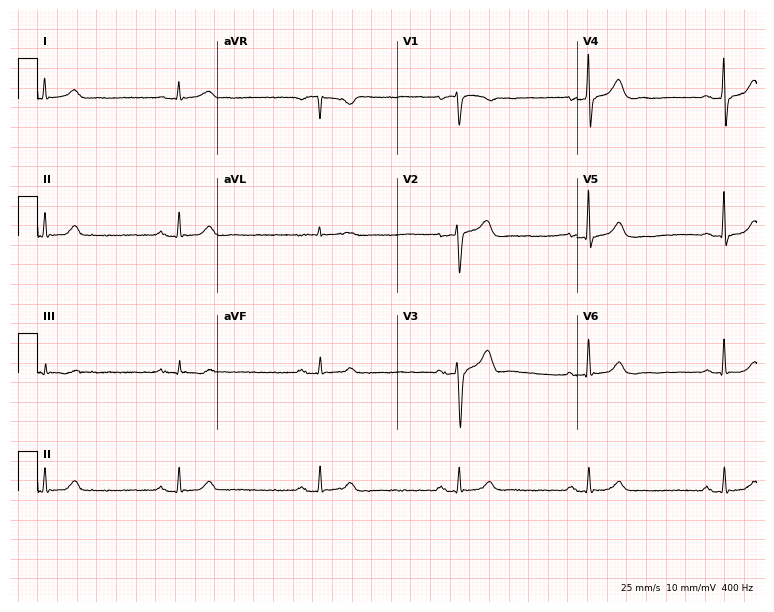
Standard 12-lead ECG recorded from a male, 60 years old. None of these six findings is recorded: first-degree AV block, right bundle branch block (RBBB), left bundle branch block (LBBB), sinus bradycardia, atrial fibrillation (AF), sinus tachycardia. Only these six findings were labelled.